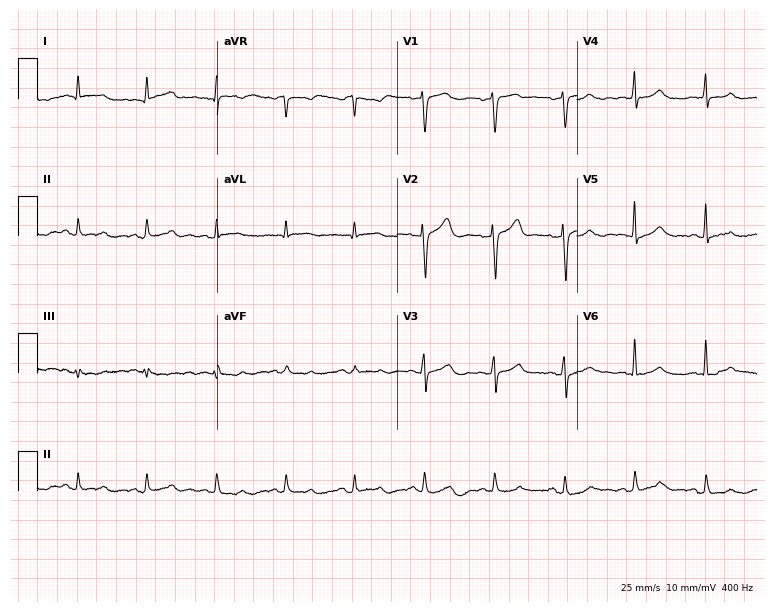
Electrocardiogram, a man, 68 years old. Of the six screened findings (first-degree AV block, right bundle branch block (RBBB), left bundle branch block (LBBB), sinus bradycardia, atrial fibrillation (AF), sinus tachycardia), none is recorded.